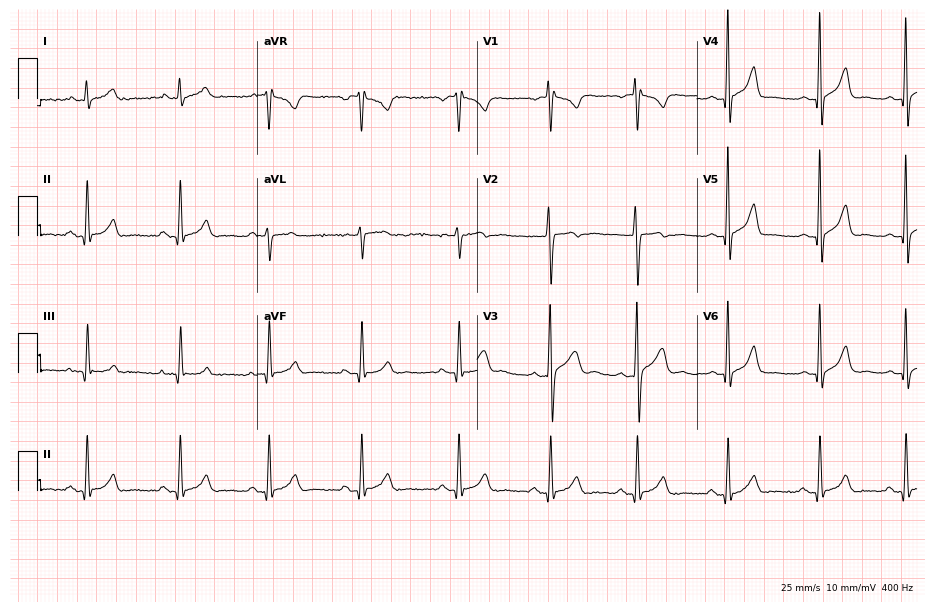
12-lead ECG from a 22-year-old male patient (9-second recording at 400 Hz). Recorded interpretation: within normal limits.